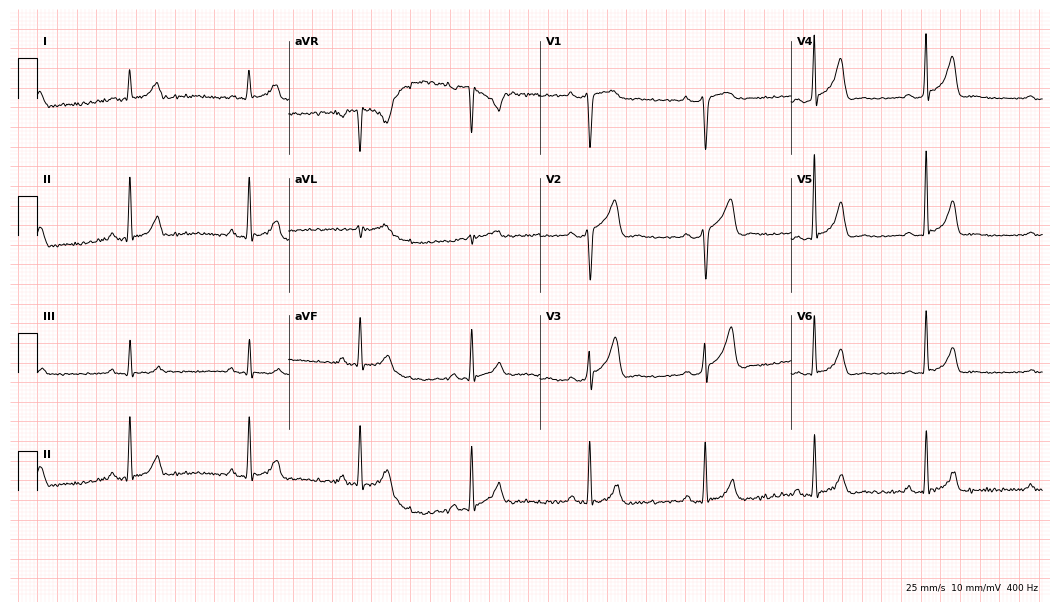
Resting 12-lead electrocardiogram (10.2-second recording at 400 Hz). Patient: a 32-year-old male. None of these six findings is recorded: first-degree AV block, right bundle branch block (RBBB), left bundle branch block (LBBB), sinus bradycardia, atrial fibrillation (AF), sinus tachycardia.